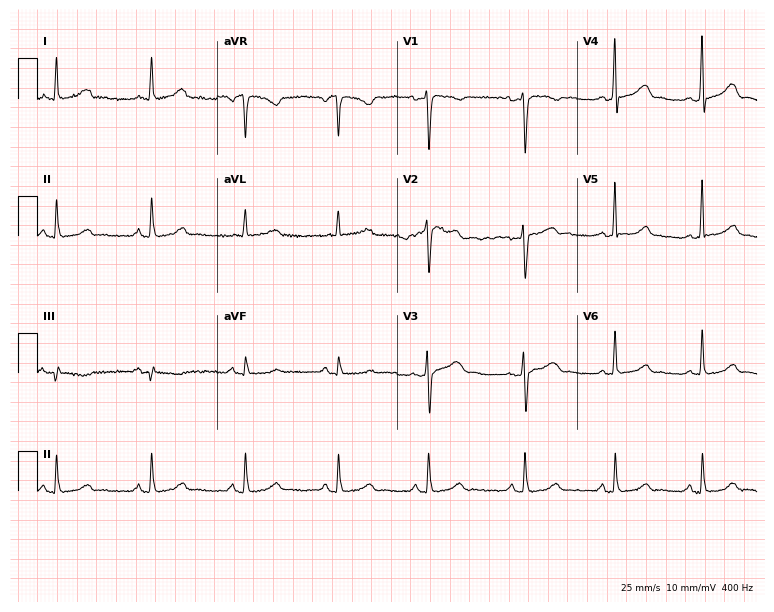
12-lead ECG from a 57-year-old female. Labelled as a normal ECG.